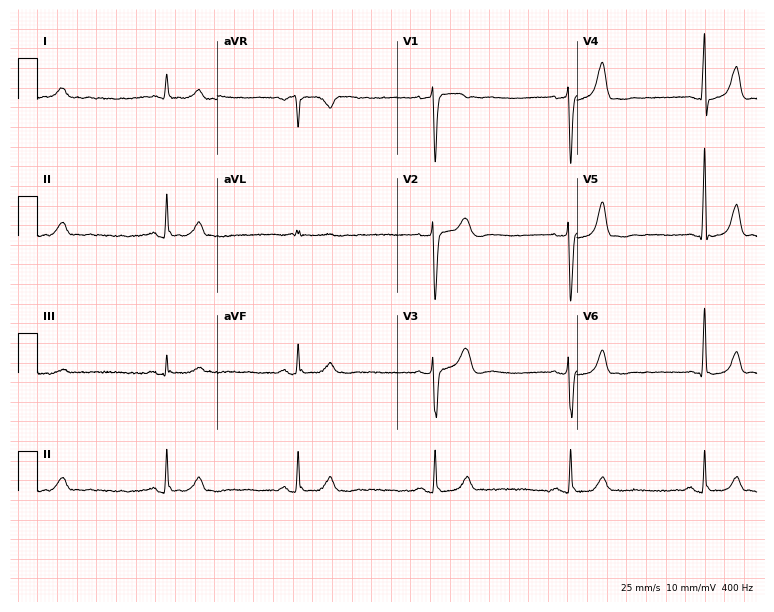
Resting 12-lead electrocardiogram. Patient: a 62-year-old male. None of these six findings is recorded: first-degree AV block, right bundle branch block (RBBB), left bundle branch block (LBBB), sinus bradycardia, atrial fibrillation (AF), sinus tachycardia.